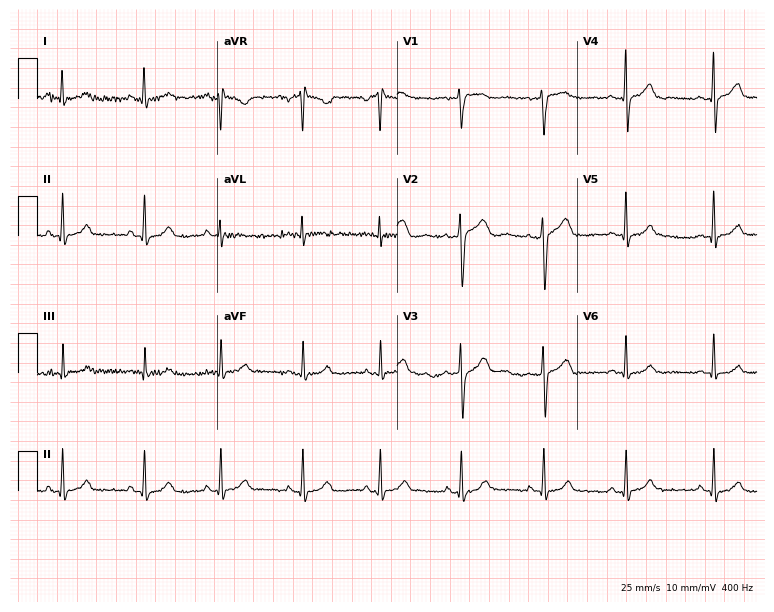
12-lead ECG from a woman, 34 years old. Screened for six findings — first-degree AV block, right bundle branch block (RBBB), left bundle branch block (LBBB), sinus bradycardia, atrial fibrillation (AF), sinus tachycardia — none is recorded. Findings outside these six are not listed.